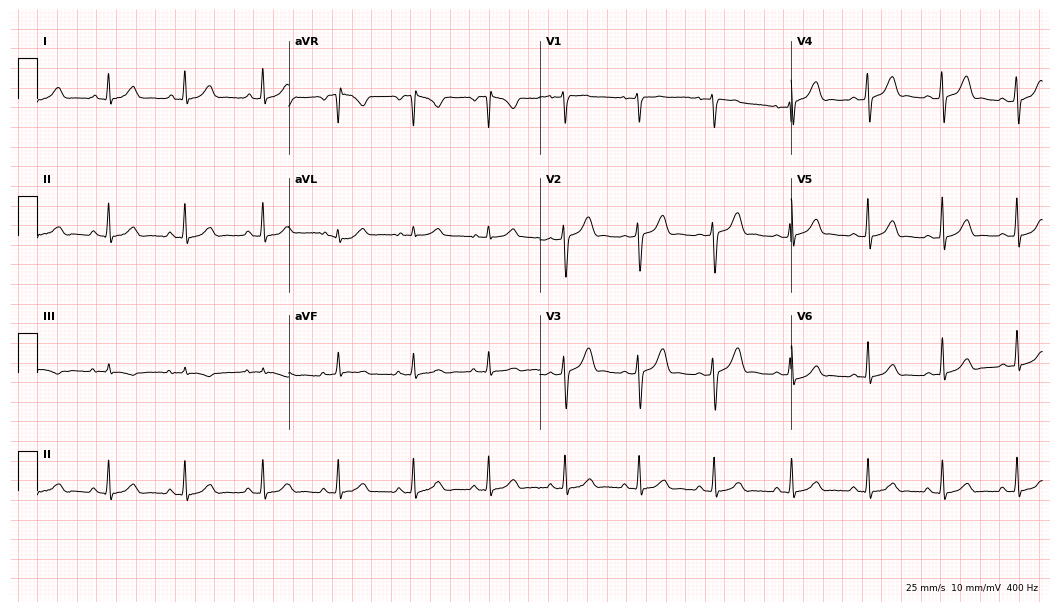
ECG (10.2-second recording at 400 Hz) — a 27-year-old woman. Labelled as a normal ECG.